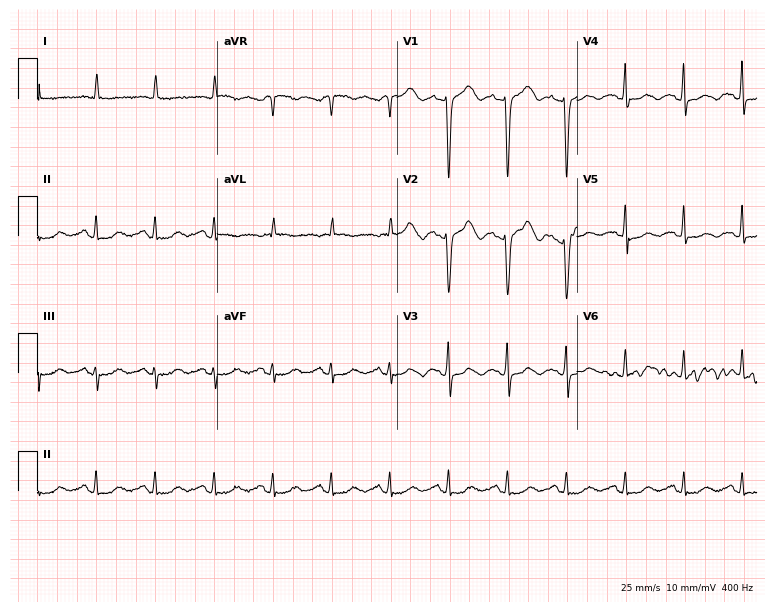
Standard 12-lead ECG recorded from a 61-year-old woman (7.3-second recording at 400 Hz). The tracing shows sinus tachycardia (a sinus rate of 100 beats per minute or more).